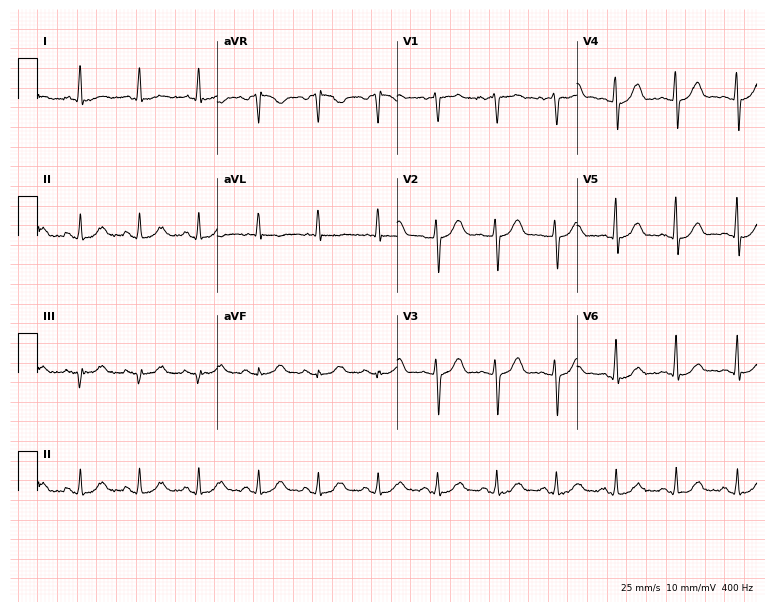
Standard 12-lead ECG recorded from a woman, 54 years old (7.3-second recording at 400 Hz). None of these six findings is recorded: first-degree AV block, right bundle branch block (RBBB), left bundle branch block (LBBB), sinus bradycardia, atrial fibrillation (AF), sinus tachycardia.